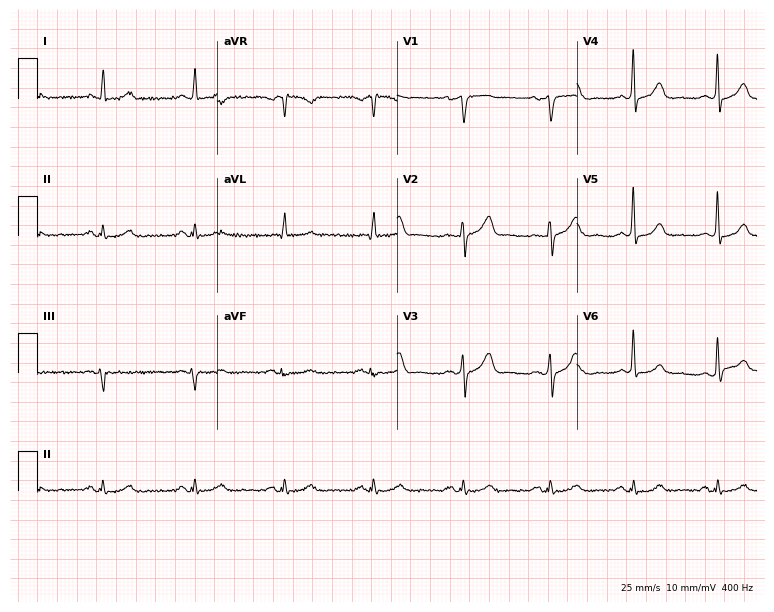
Standard 12-lead ECG recorded from a man, 79 years old (7.3-second recording at 400 Hz). Read as a normal ECG.